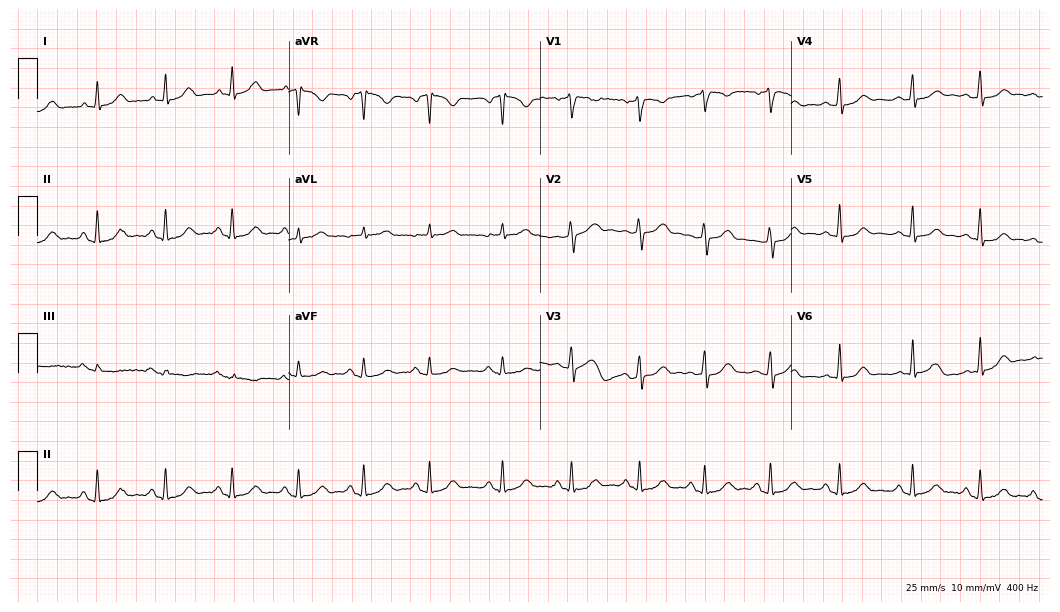
Electrocardiogram (10.2-second recording at 400 Hz), a 41-year-old woman. Overall reading on record: normal ECG.